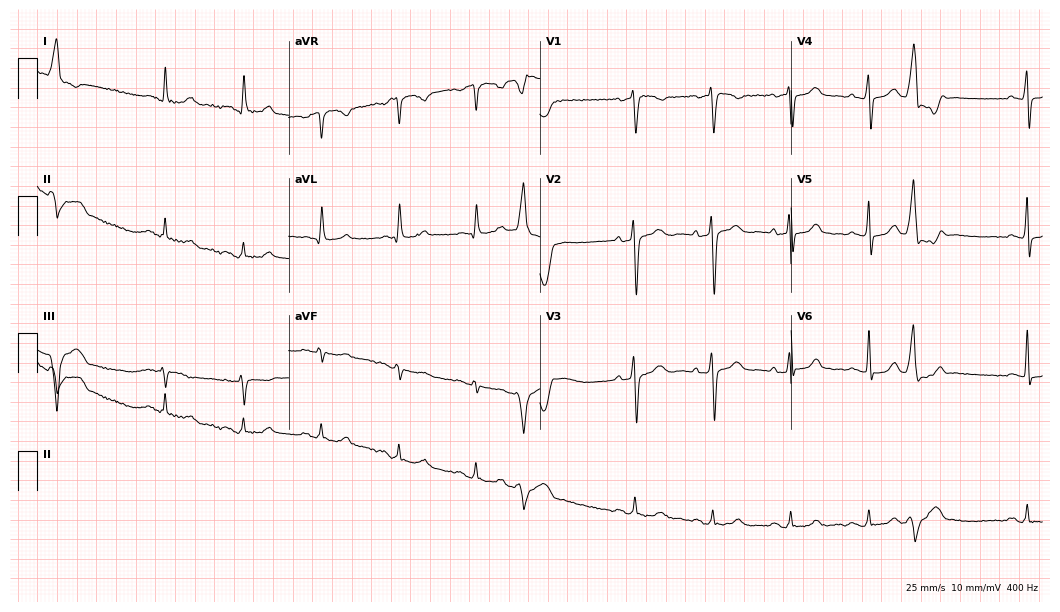
Resting 12-lead electrocardiogram (10.2-second recording at 400 Hz). Patient: a 57-year-old female. Read as a normal ECG.